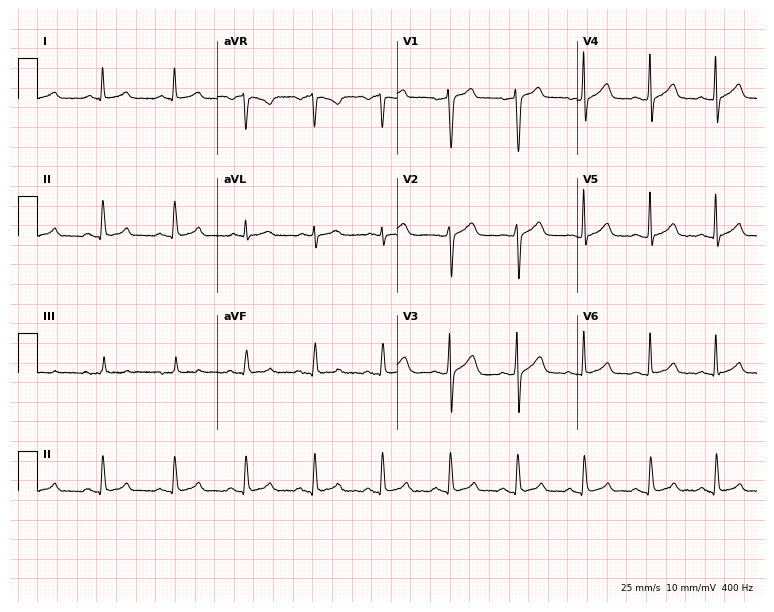
Electrocardiogram, a 59-year-old man. Overall reading on record: normal ECG.